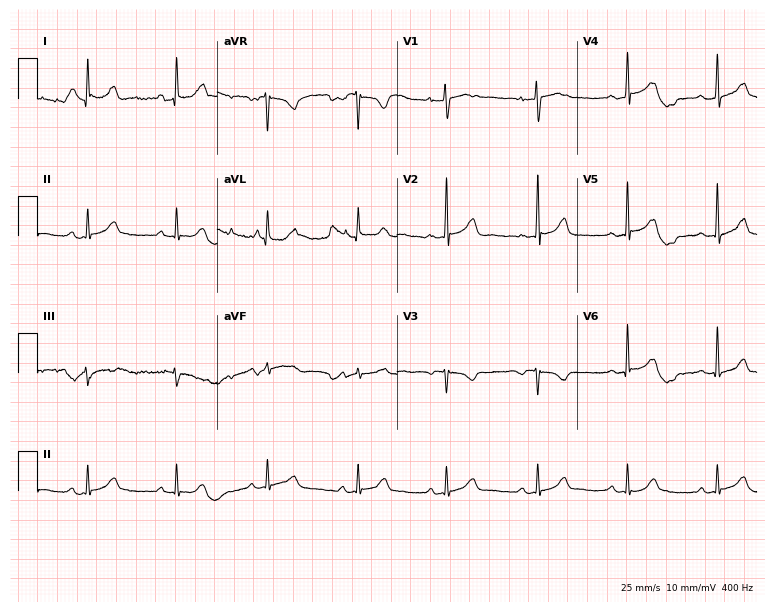
Electrocardiogram (7.3-second recording at 400 Hz), a woman, 30 years old. Overall reading on record: normal ECG.